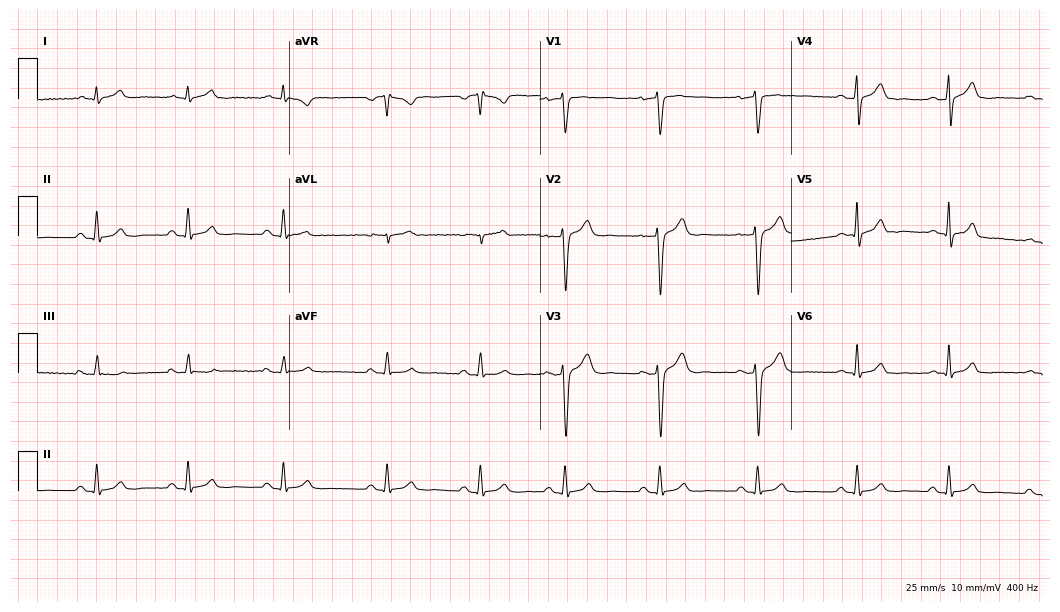
Electrocardiogram, a male, 48 years old. Overall reading on record: normal ECG.